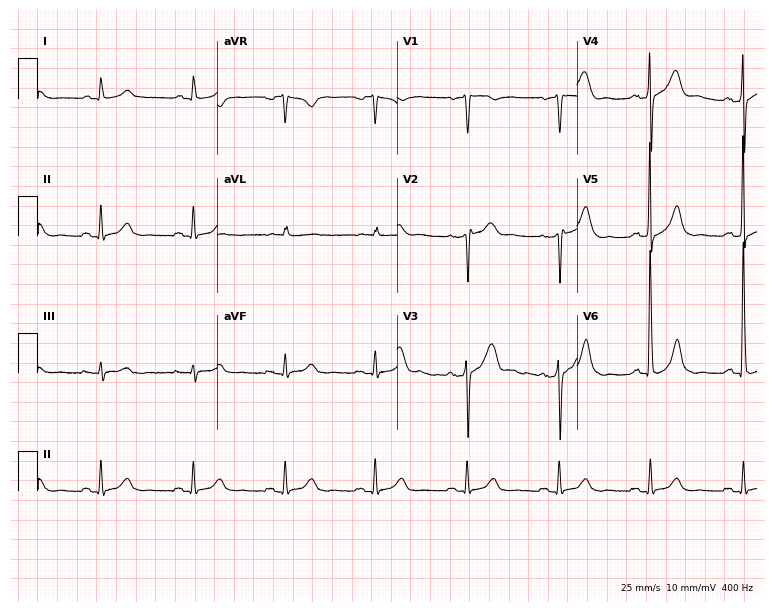
ECG (7.3-second recording at 400 Hz) — a 71-year-old man. Labelled as a normal ECG.